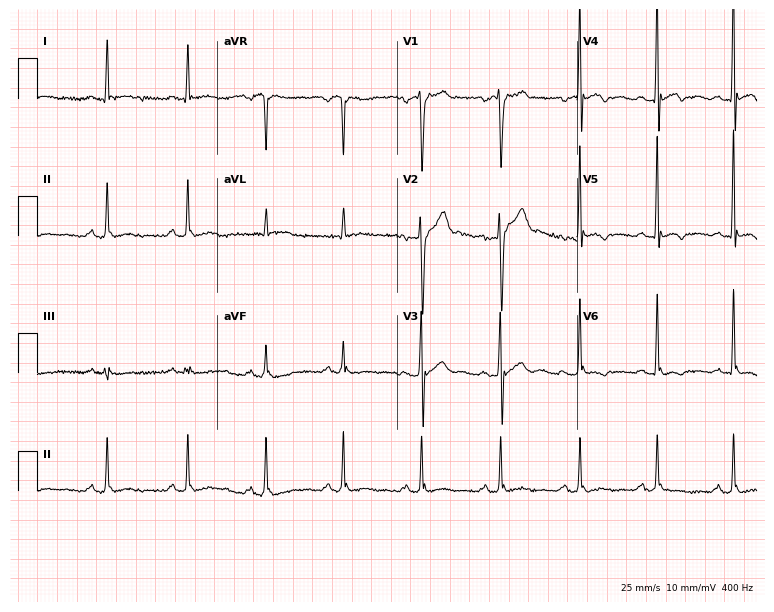
Resting 12-lead electrocardiogram. Patient: a male, 44 years old. None of these six findings is recorded: first-degree AV block, right bundle branch block, left bundle branch block, sinus bradycardia, atrial fibrillation, sinus tachycardia. Only these six findings were labelled.